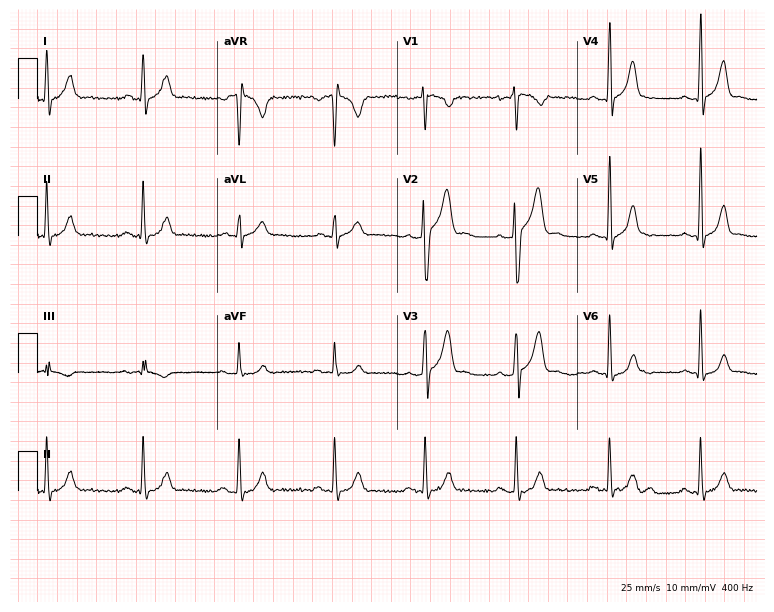
ECG (7.3-second recording at 400 Hz) — a man, 63 years old. Labelled as a normal ECG.